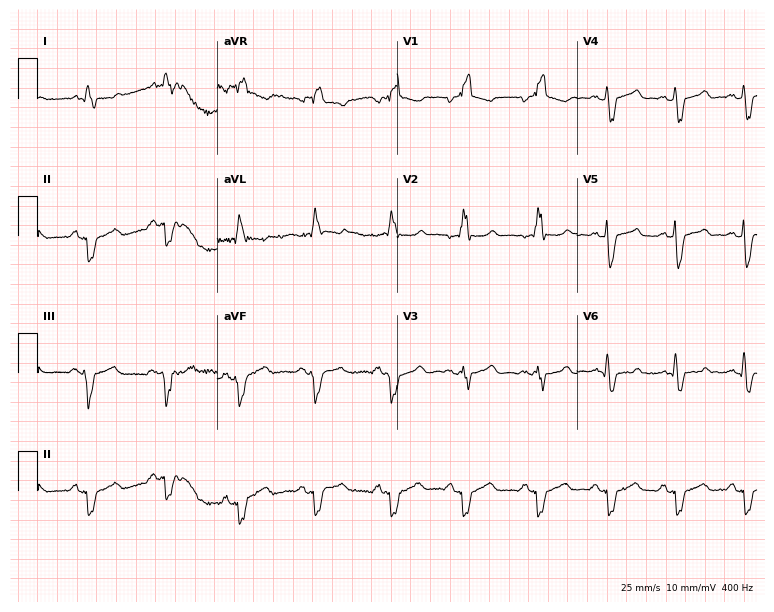
12-lead ECG from a male patient, 61 years old. Findings include right bundle branch block.